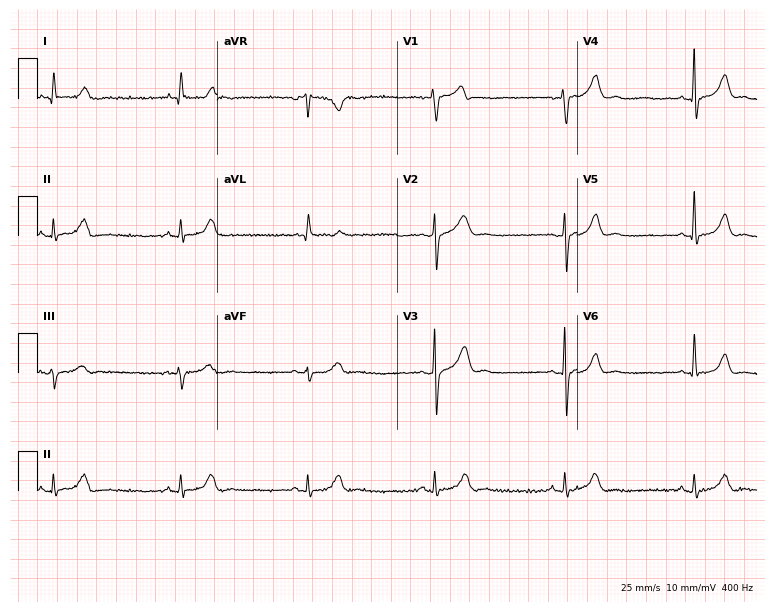
12-lead ECG from a male, 61 years old. Screened for six findings — first-degree AV block, right bundle branch block, left bundle branch block, sinus bradycardia, atrial fibrillation, sinus tachycardia — none is recorded. Other findings, if any, are not listed.